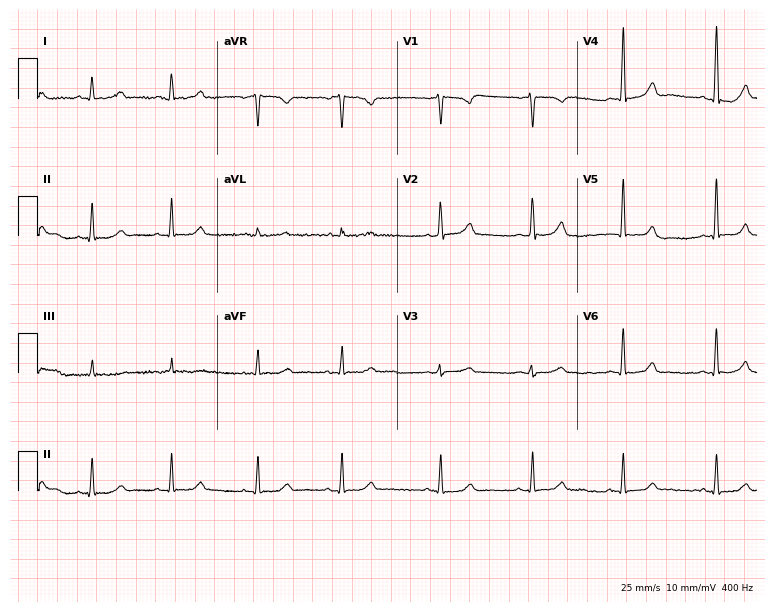
Resting 12-lead electrocardiogram (7.3-second recording at 400 Hz). Patient: a 42-year-old woman. Read as a normal ECG.